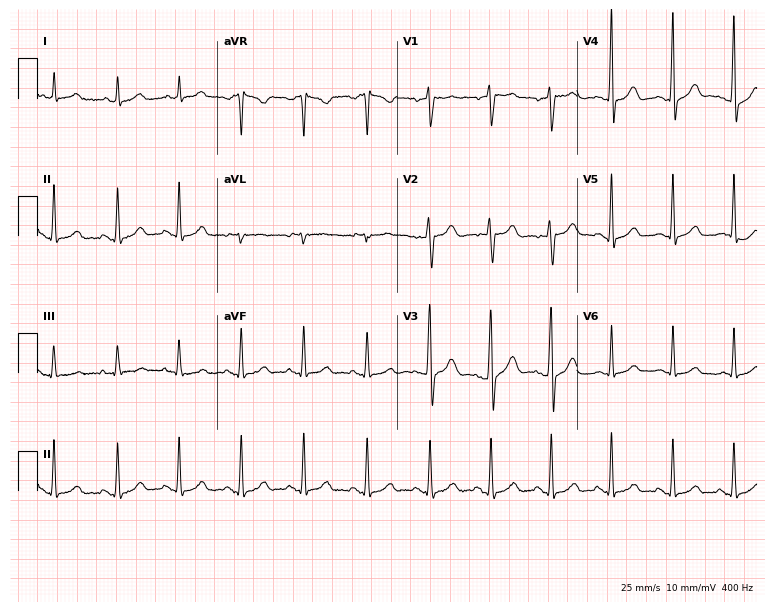
Resting 12-lead electrocardiogram (7.3-second recording at 400 Hz). Patient: a man, 41 years old. Read as a normal ECG.